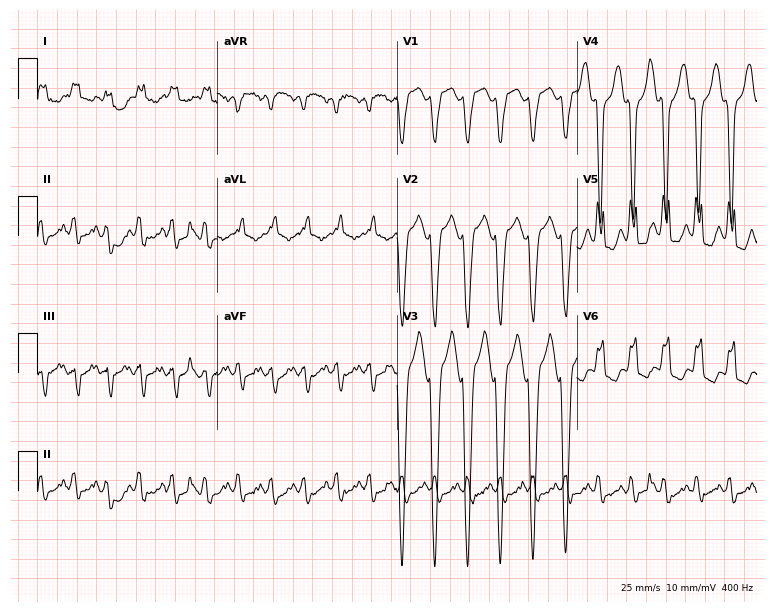
Standard 12-lead ECG recorded from a 75-year-old woman. The tracing shows left bundle branch block (LBBB), sinus tachycardia (a sinus rate of 100 beats per minute or more).